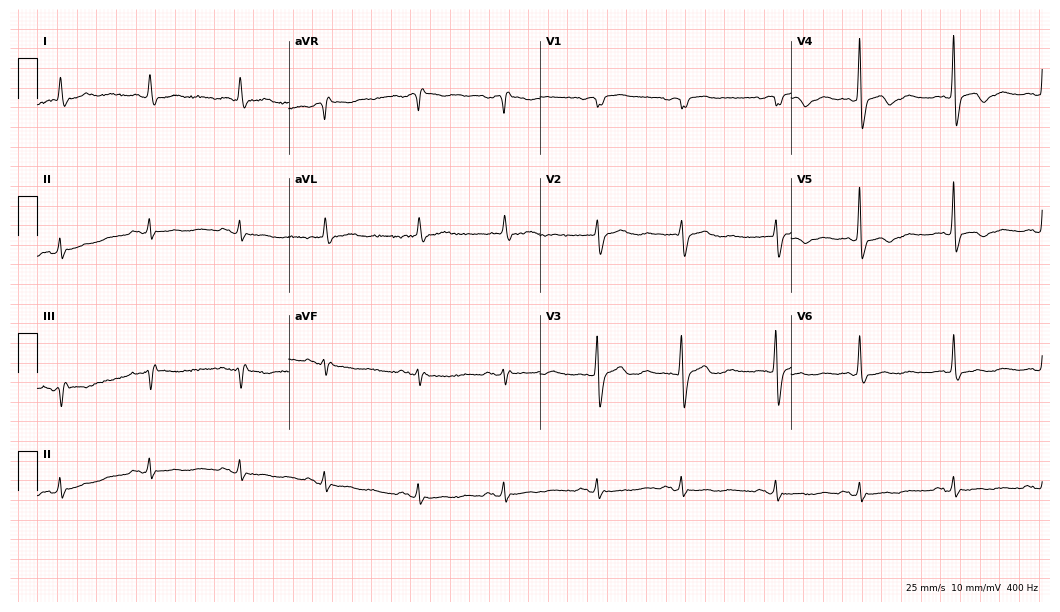
ECG (10.2-second recording at 400 Hz) — an 85-year-old woman. Screened for six findings — first-degree AV block, right bundle branch block, left bundle branch block, sinus bradycardia, atrial fibrillation, sinus tachycardia — none is recorded. Findings outside these six are not listed.